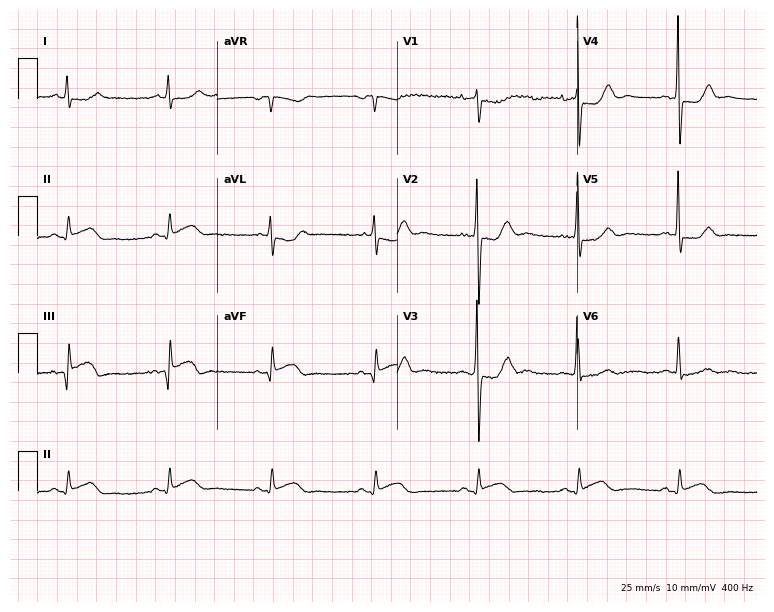
Standard 12-lead ECG recorded from a 61-year-old man. None of these six findings is recorded: first-degree AV block, right bundle branch block, left bundle branch block, sinus bradycardia, atrial fibrillation, sinus tachycardia. Other findings, if any, are not listed.